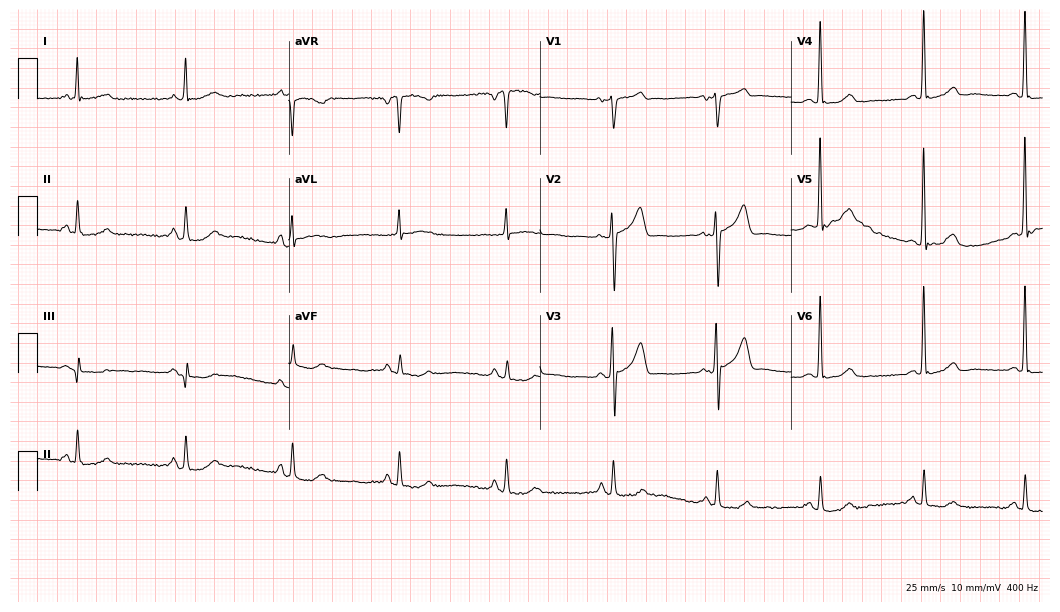
Electrocardiogram (10.2-second recording at 400 Hz), a male patient, 61 years old. Overall reading on record: normal ECG.